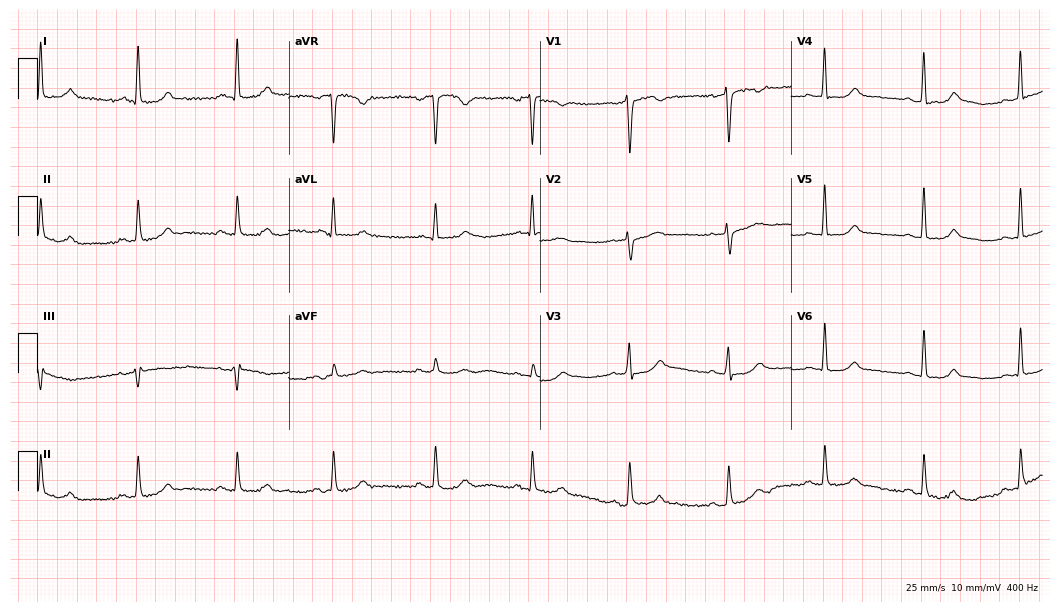
ECG — a woman, 59 years old. Labelled as a normal ECG.